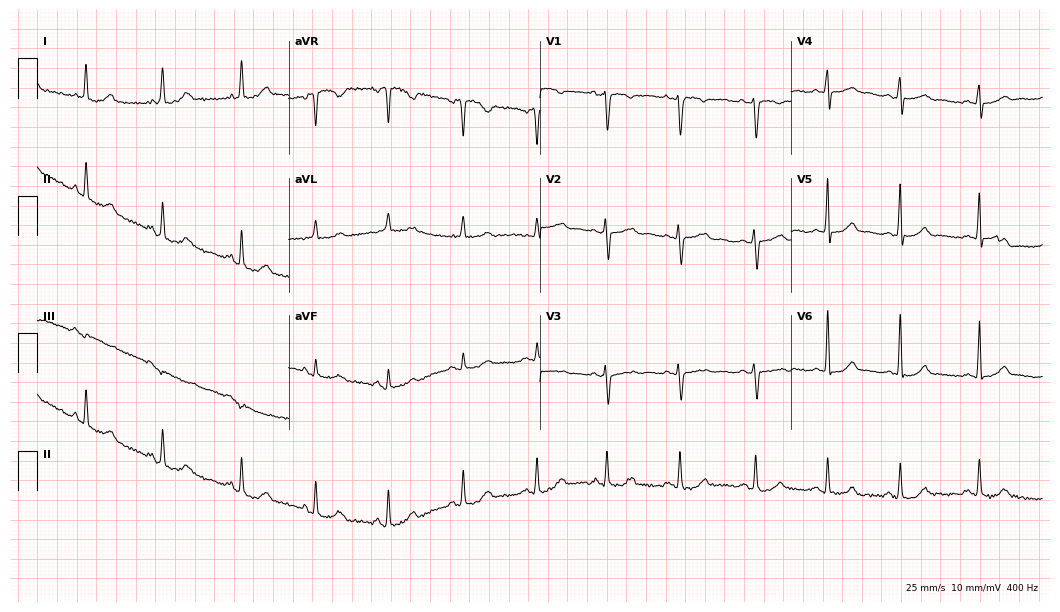
Electrocardiogram (10.2-second recording at 400 Hz), a female patient, 34 years old. Of the six screened findings (first-degree AV block, right bundle branch block, left bundle branch block, sinus bradycardia, atrial fibrillation, sinus tachycardia), none is recorded. Findings outside these six are not listed.